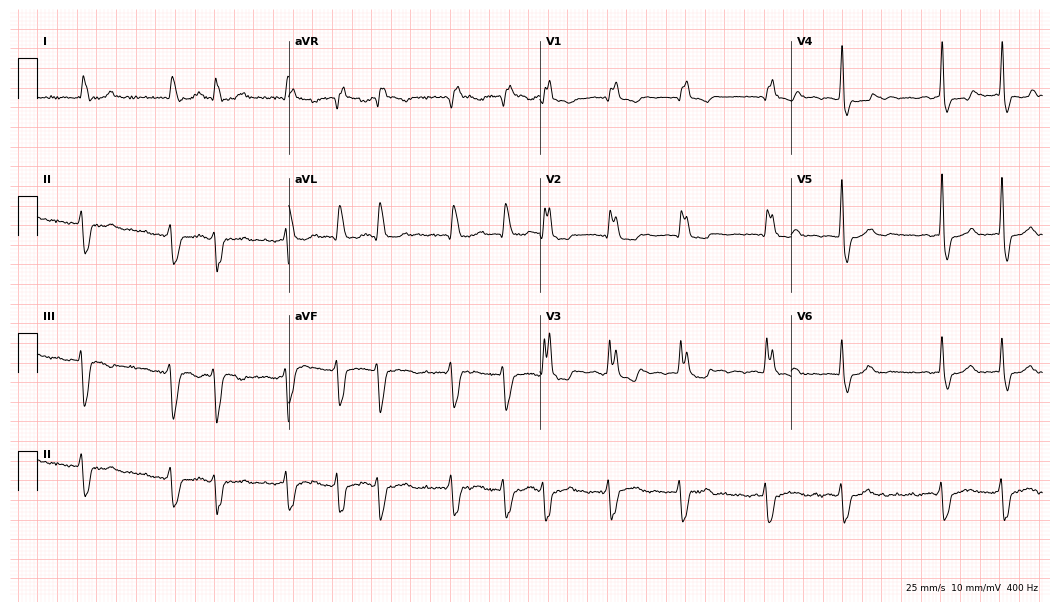
ECG — a woman, 69 years old. Findings include right bundle branch block (RBBB), atrial fibrillation (AF).